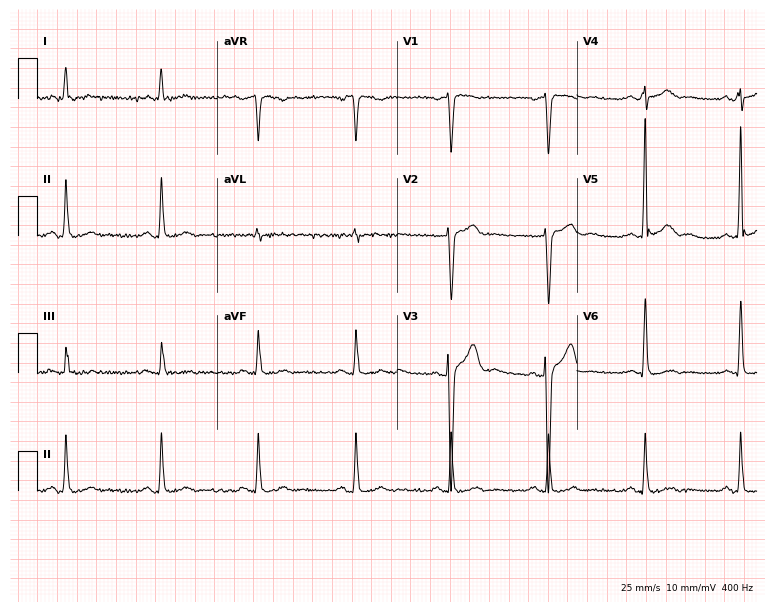
Electrocardiogram, a male, 53 years old. Of the six screened findings (first-degree AV block, right bundle branch block (RBBB), left bundle branch block (LBBB), sinus bradycardia, atrial fibrillation (AF), sinus tachycardia), none is recorded. Findings outside these six are not listed.